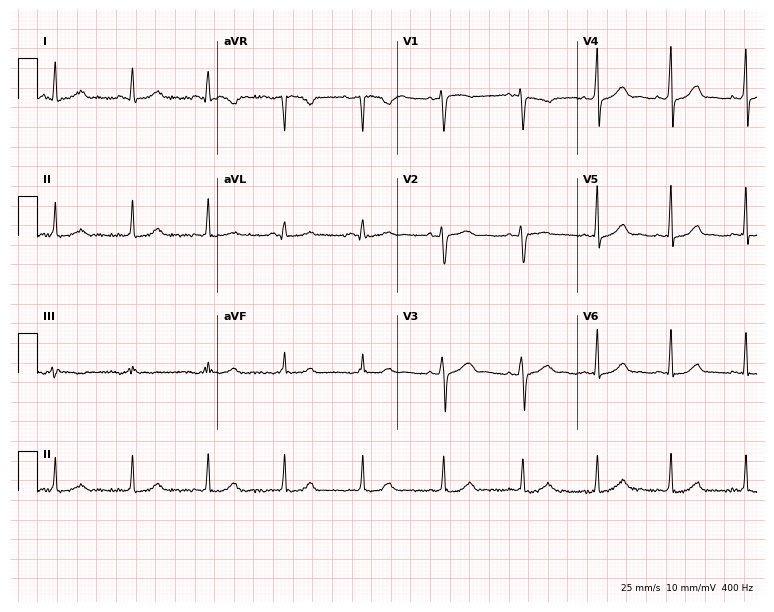
12-lead ECG from a 35-year-old woman (7.3-second recording at 400 Hz). Recorded interpretation: within normal limits.